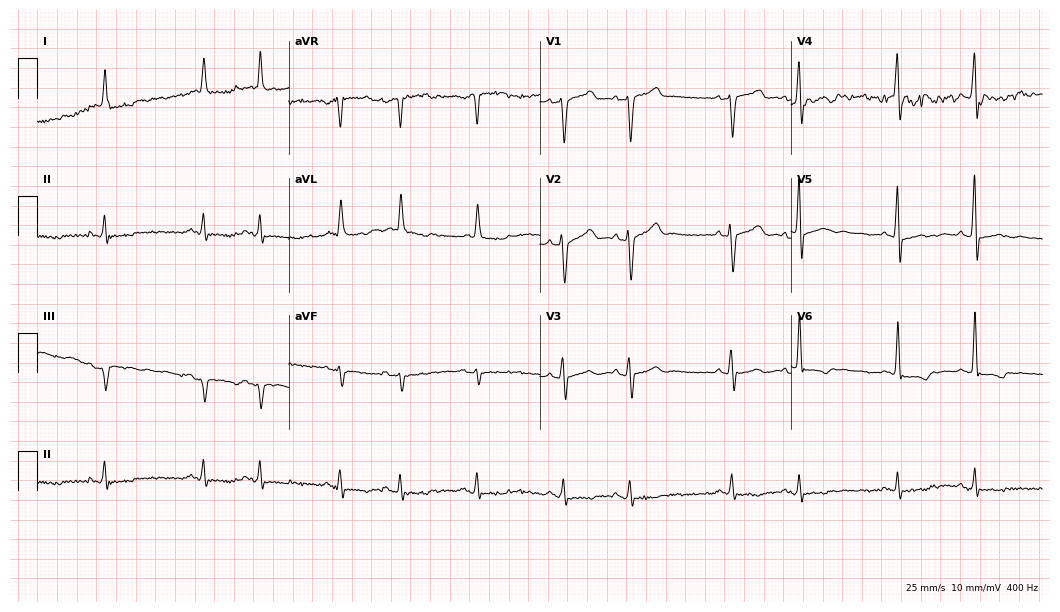
12-lead ECG from an 84-year-old male (10.2-second recording at 400 Hz). No first-degree AV block, right bundle branch block, left bundle branch block, sinus bradycardia, atrial fibrillation or sinus tachycardia recorded for this tracing. Findings outside these six are not listed.